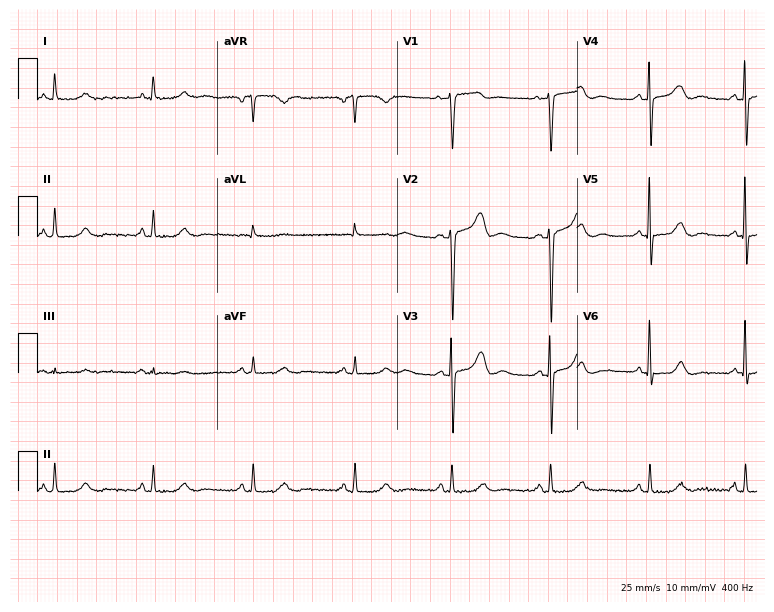
Resting 12-lead electrocardiogram (7.3-second recording at 400 Hz). Patient: a female, 57 years old. None of these six findings is recorded: first-degree AV block, right bundle branch block, left bundle branch block, sinus bradycardia, atrial fibrillation, sinus tachycardia.